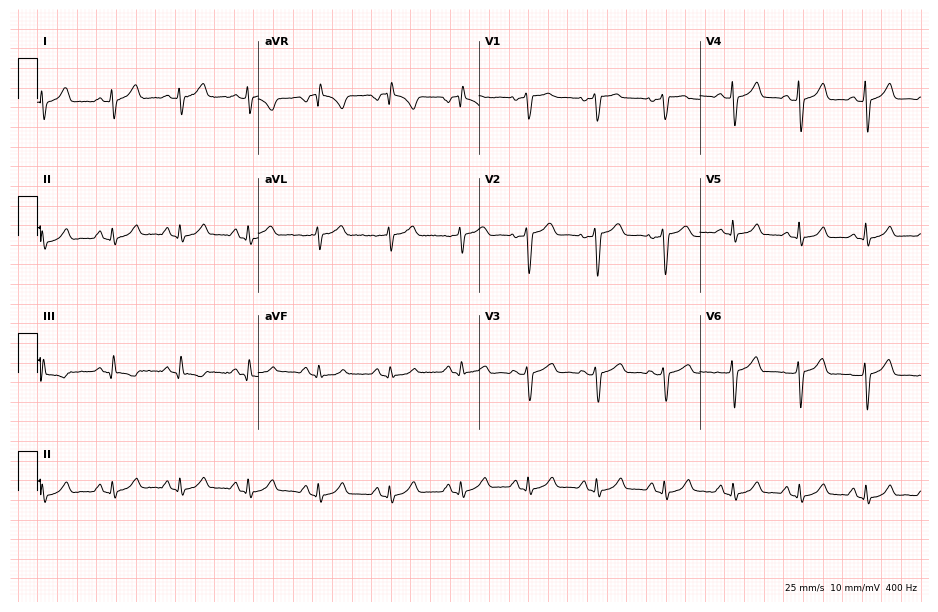
12-lead ECG from a 41-year-old woman. Recorded interpretation: within normal limits.